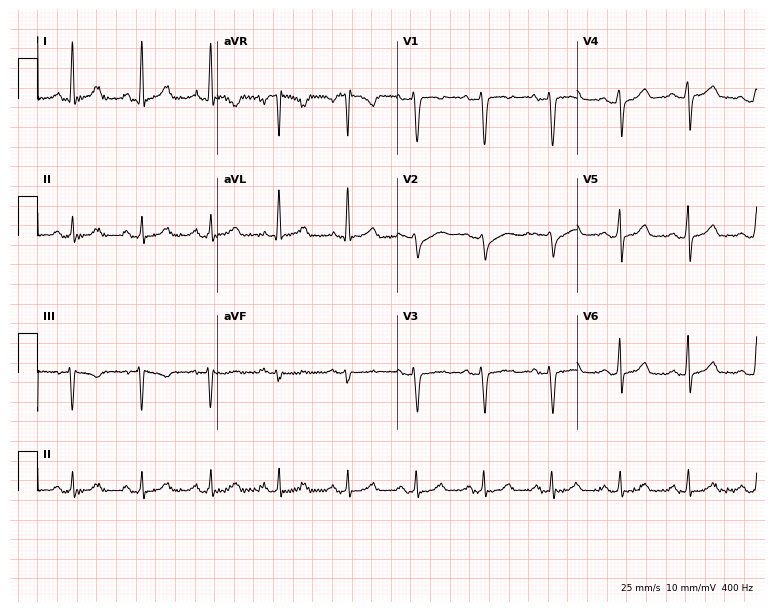
Resting 12-lead electrocardiogram (7.3-second recording at 400 Hz). Patient: a 46-year-old female. Read as a normal ECG.